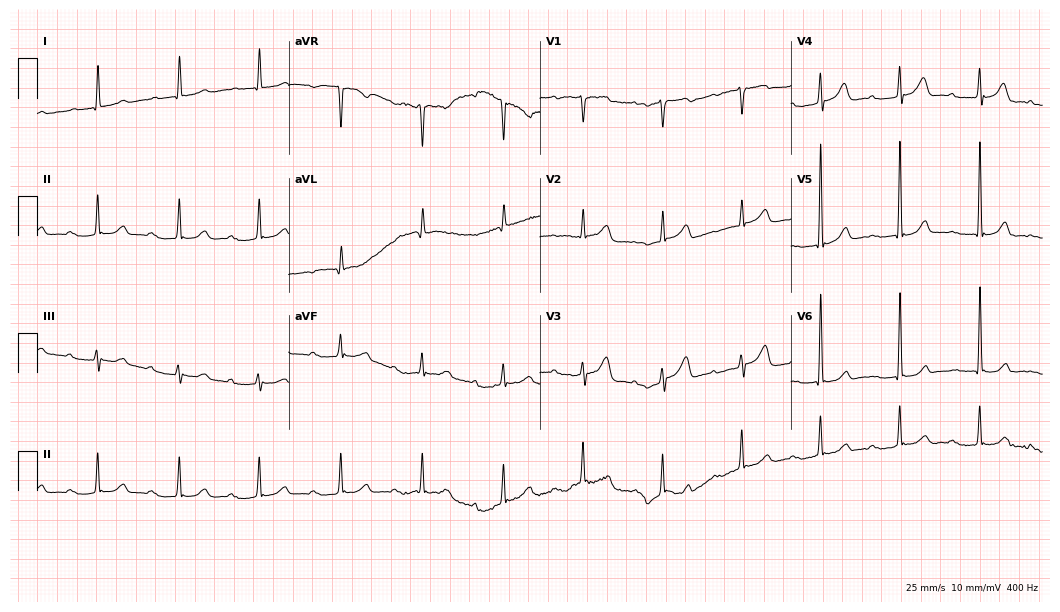
12-lead ECG from an 83-year-old female (10.2-second recording at 400 Hz). Shows first-degree AV block.